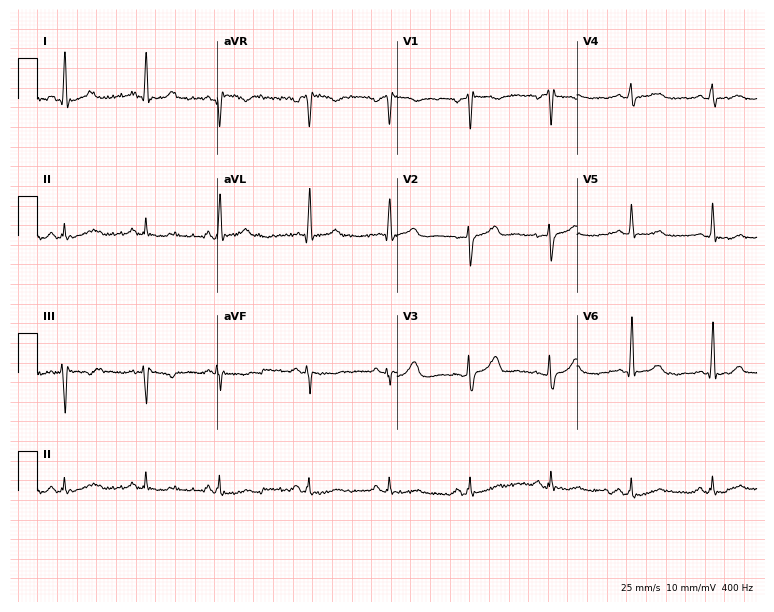
Resting 12-lead electrocardiogram. Patient: a 66-year-old female. None of these six findings is recorded: first-degree AV block, right bundle branch block, left bundle branch block, sinus bradycardia, atrial fibrillation, sinus tachycardia.